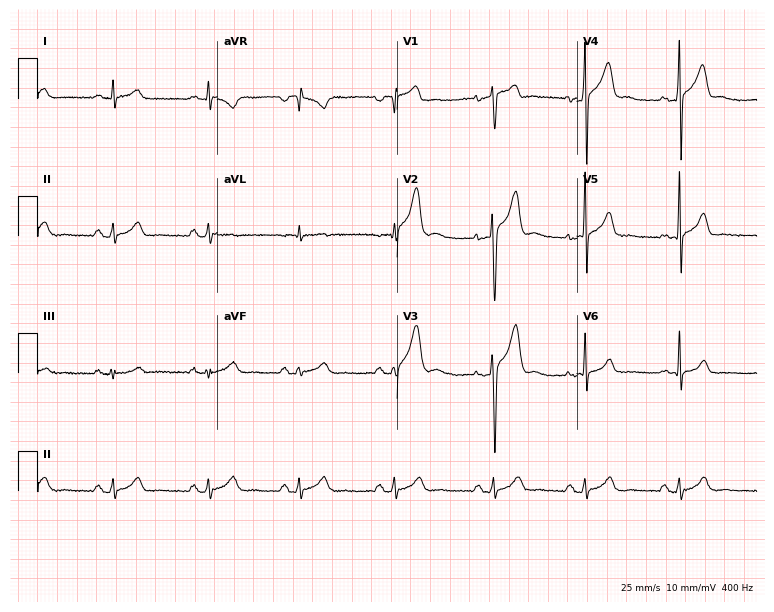
ECG (7.3-second recording at 400 Hz) — a man, 31 years old. Screened for six findings — first-degree AV block, right bundle branch block (RBBB), left bundle branch block (LBBB), sinus bradycardia, atrial fibrillation (AF), sinus tachycardia — none is recorded. Only these six findings were labelled.